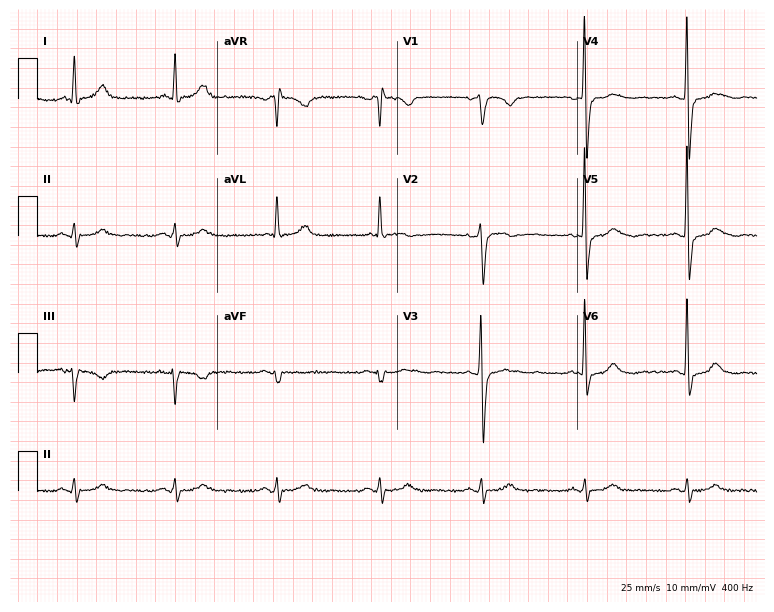
Electrocardiogram, a 74-year-old male patient. Of the six screened findings (first-degree AV block, right bundle branch block, left bundle branch block, sinus bradycardia, atrial fibrillation, sinus tachycardia), none is recorded. Findings outside these six are not listed.